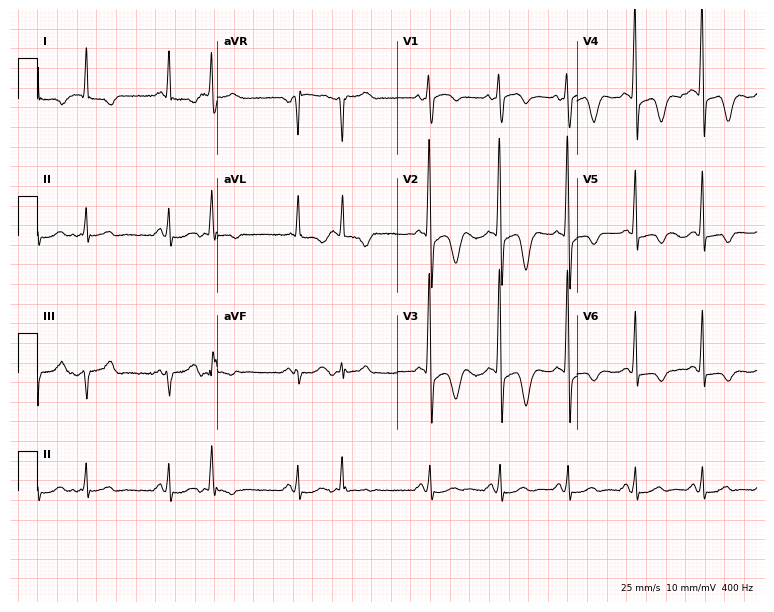
ECG — a 76-year-old man. Screened for six findings — first-degree AV block, right bundle branch block, left bundle branch block, sinus bradycardia, atrial fibrillation, sinus tachycardia — none is recorded.